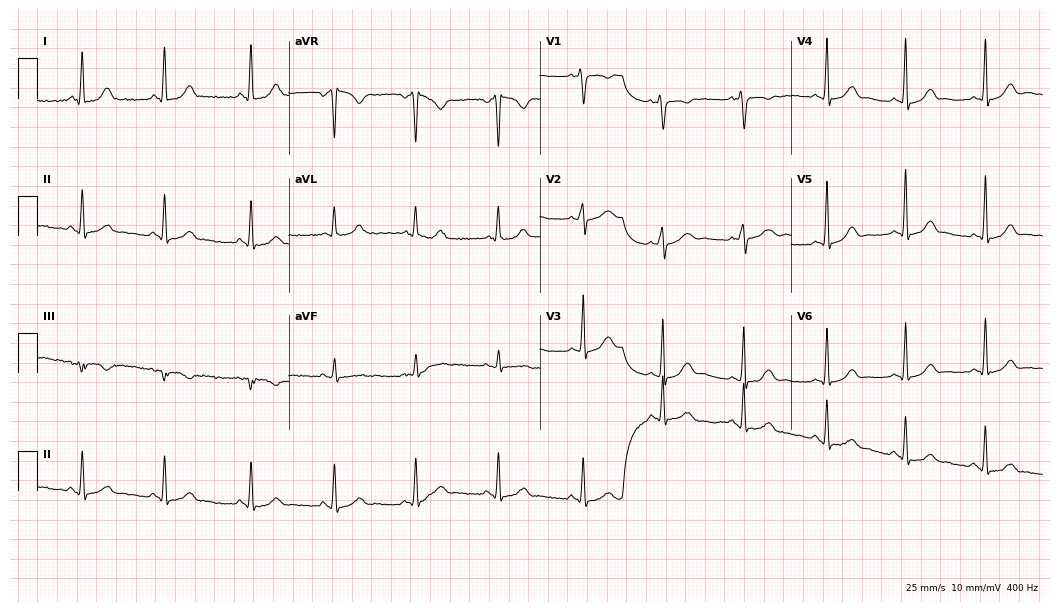
12-lead ECG (10.2-second recording at 400 Hz) from a female, 25 years old. Screened for six findings — first-degree AV block, right bundle branch block, left bundle branch block, sinus bradycardia, atrial fibrillation, sinus tachycardia — none is recorded.